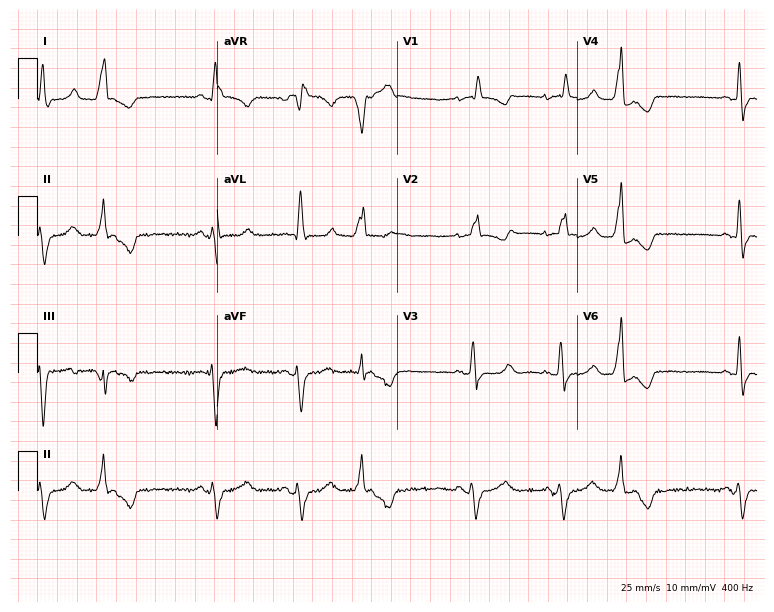
Electrocardiogram, a female, 71 years old. Of the six screened findings (first-degree AV block, right bundle branch block, left bundle branch block, sinus bradycardia, atrial fibrillation, sinus tachycardia), none is recorded. Findings outside these six are not listed.